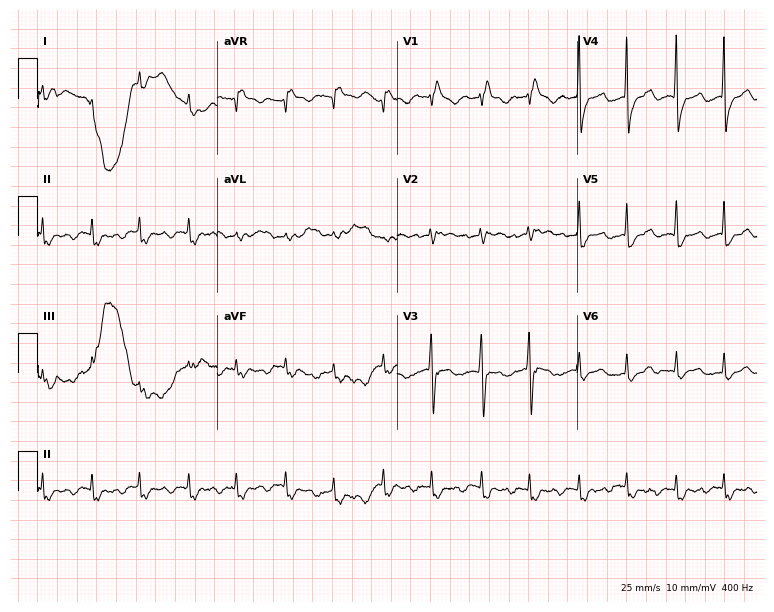
Standard 12-lead ECG recorded from a female, 80 years old (7.3-second recording at 400 Hz). None of these six findings is recorded: first-degree AV block, right bundle branch block (RBBB), left bundle branch block (LBBB), sinus bradycardia, atrial fibrillation (AF), sinus tachycardia.